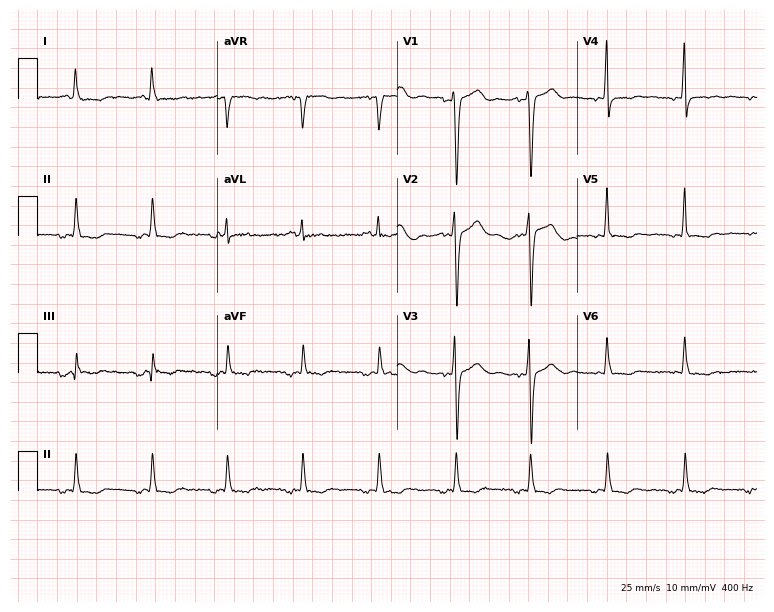
Electrocardiogram, a male patient, 67 years old. Of the six screened findings (first-degree AV block, right bundle branch block (RBBB), left bundle branch block (LBBB), sinus bradycardia, atrial fibrillation (AF), sinus tachycardia), none is recorded. Only these six findings were labelled.